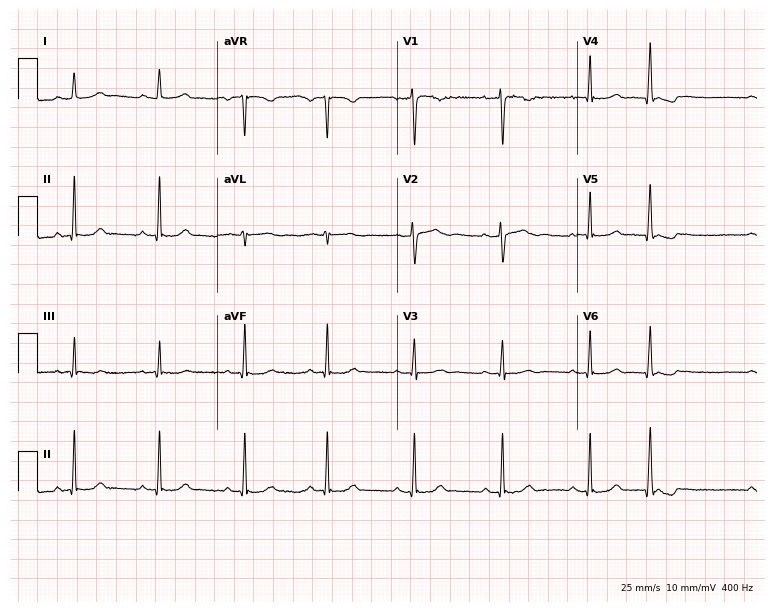
Resting 12-lead electrocardiogram. Patient: a 34-year-old woman. None of these six findings is recorded: first-degree AV block, right bundle branch block, left bundle branch block, sinus bradycardia, atrial fibrillation, sinus tachycardia.